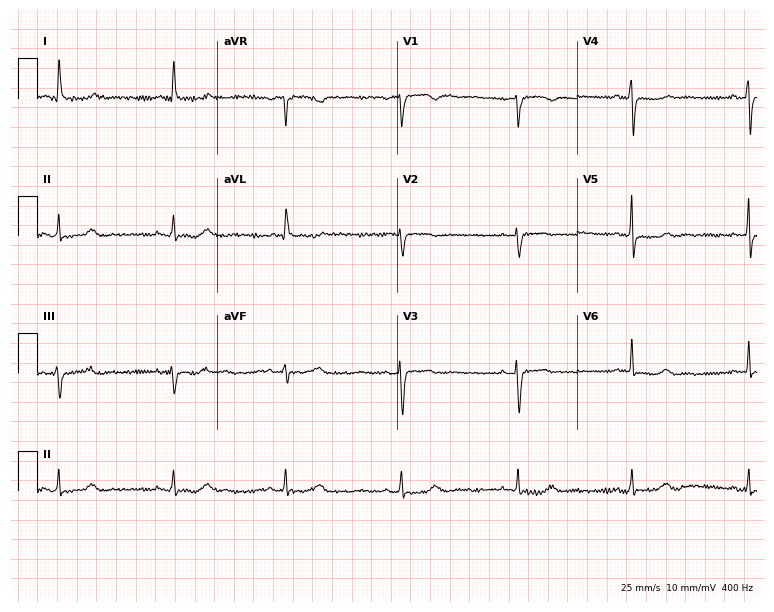
Resting 12-lead electrocardiogram. Patient: a woman, 66 years old. Read as a normal ECG.